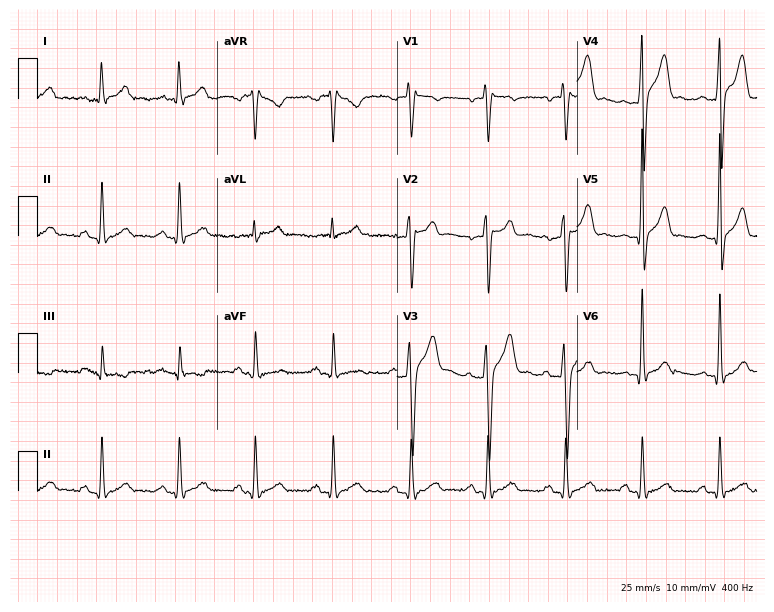
12-lead ECG from a 31-year-old male (7.3-second recording at 400 Hz). No first-degree AV block, right bundle branch block, left bundle branch block, sinus bradycardia, atrial fibrillation or sinus tachycardia recorded for this tracing. Only these six findings were labelled.